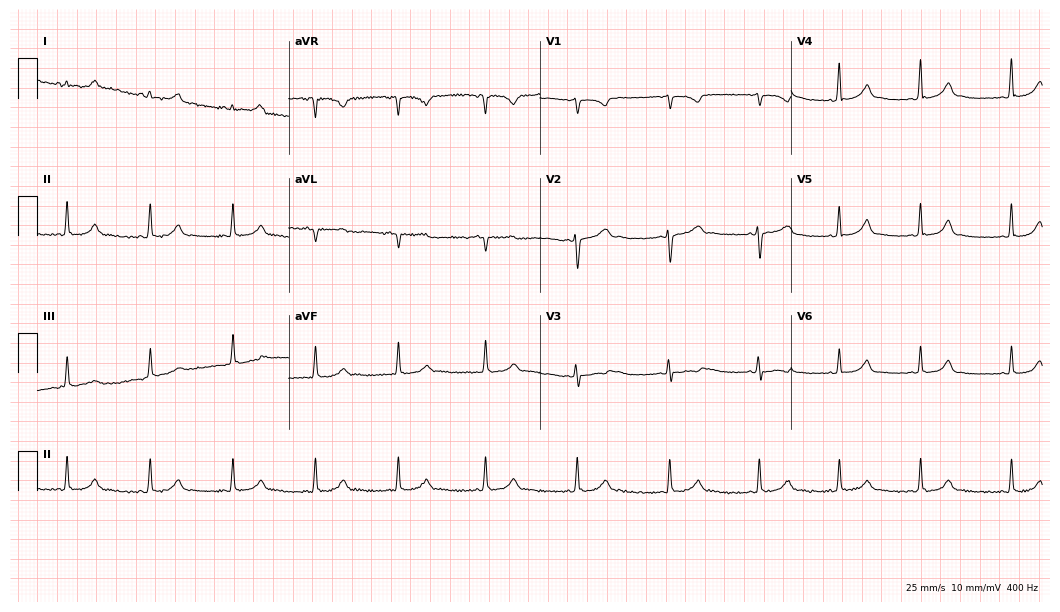
Standard 12-lead ECG recorded from a female, 30 years old. Read as a normal ECG.